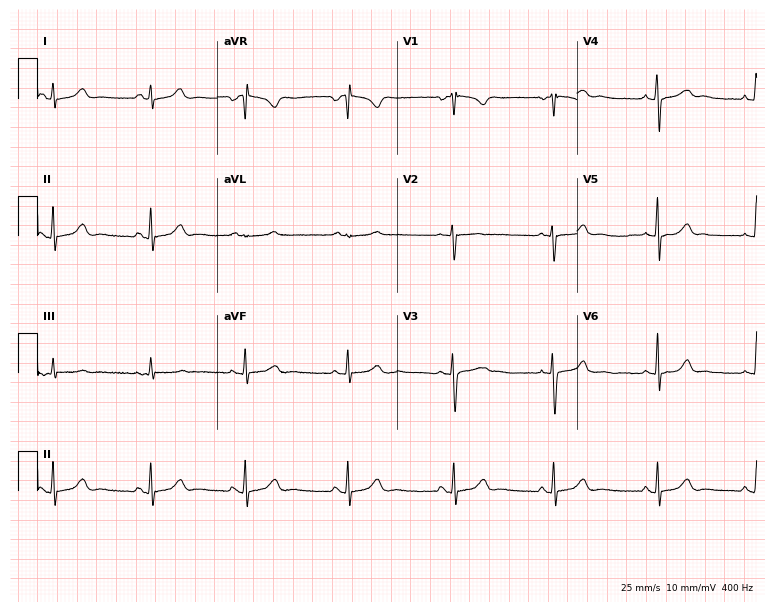
12-lead ECG from a female, 17 years old (7.3-second recording at 400 Hz). Recorded interpretation: within normal limits.